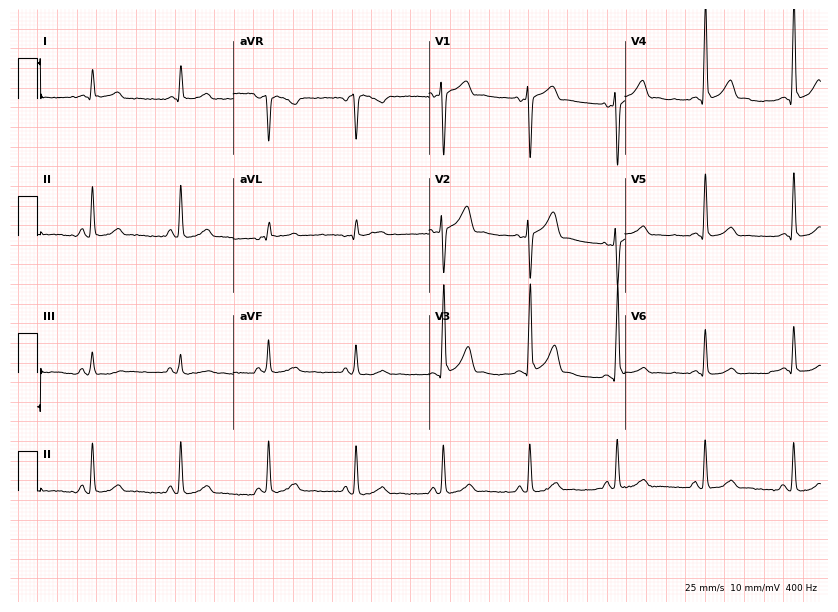
Standard 12-lead ECG recorded from a 51-year-old male patient. None of these six findings is recorded: first-degree AV block, right bundle branch block, left bundle branch block, sinus bradycardia, atrial fibrillation, sinus tachycardia.